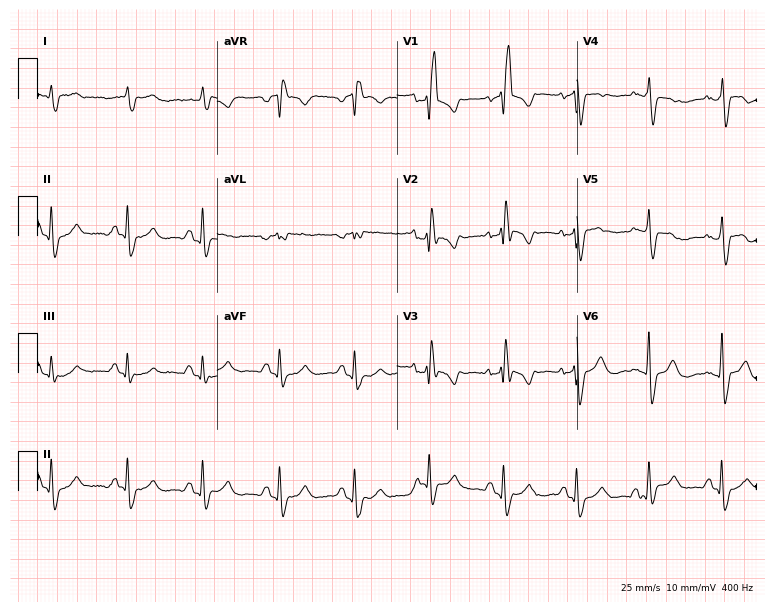
Resting 12-lead electrocardiogram (7.3-second recording at 400 Hz). Patient: a male, 63 years old. The tracing shows right bundle branch block.